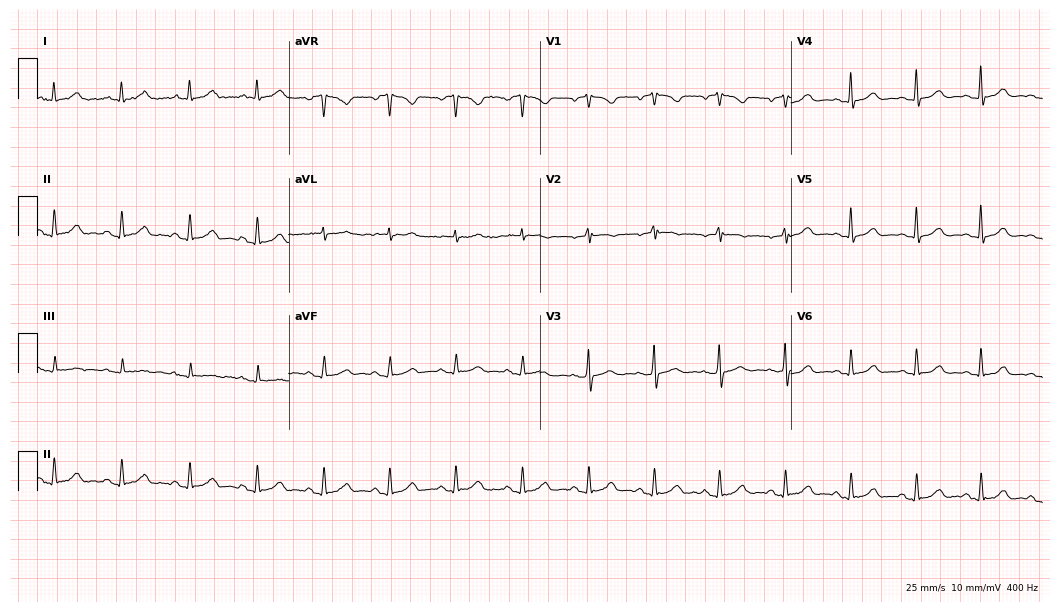
12-lead ECG from a female patient, 59 years old. No first-degree AV block, right bundle branch block (RBBB), left bundle branch block (LBBB), sinus bradycardia, atrial fibrillation (AF) or sinus tachycardia recorded for this tracing. Other findings, if any, are not listed.